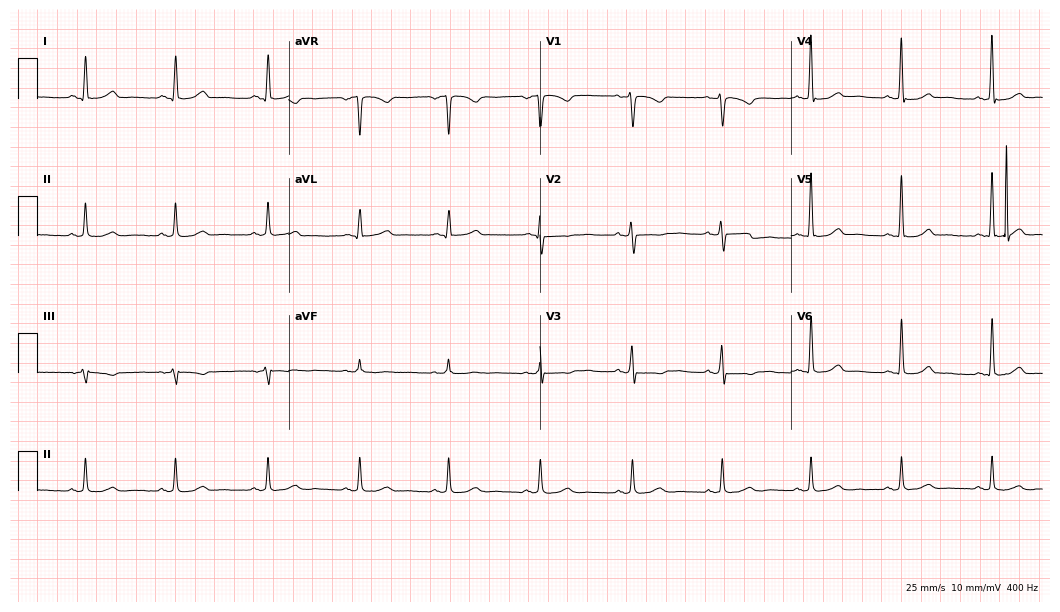
ECG — a 50-year-old female. Screened for six findings — first-degree AV block, right bundle branch block, left bundle branch block, sinus bradycardia, atrial fibrillation, sinus tachycardia — none is recorded. Only these six findings were labelled.